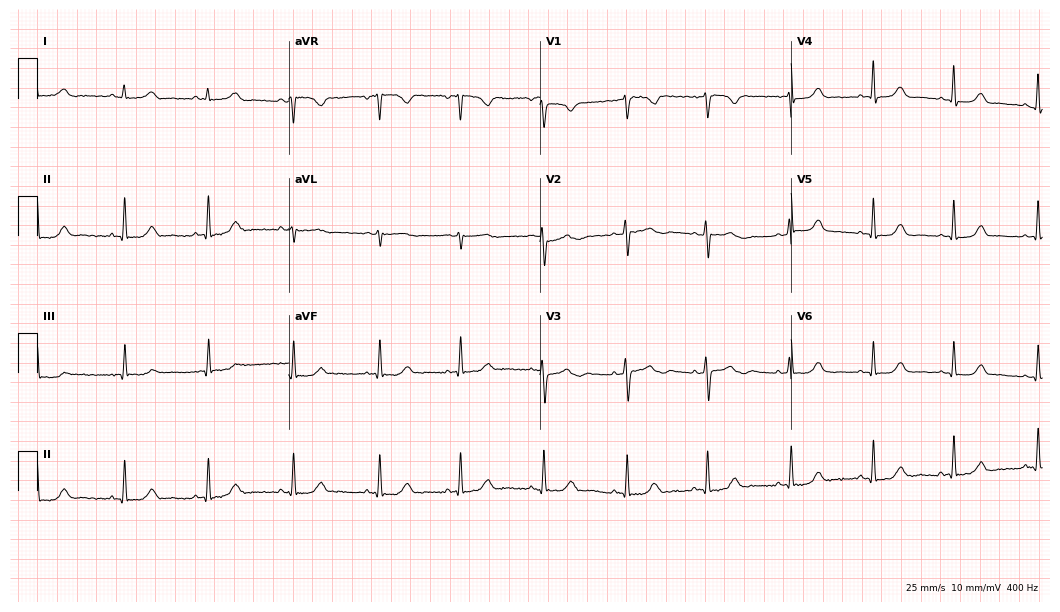
ECG (10.2-second recording at 400 Hz) — a 35-year-old female. Labelled as a normal ECG.